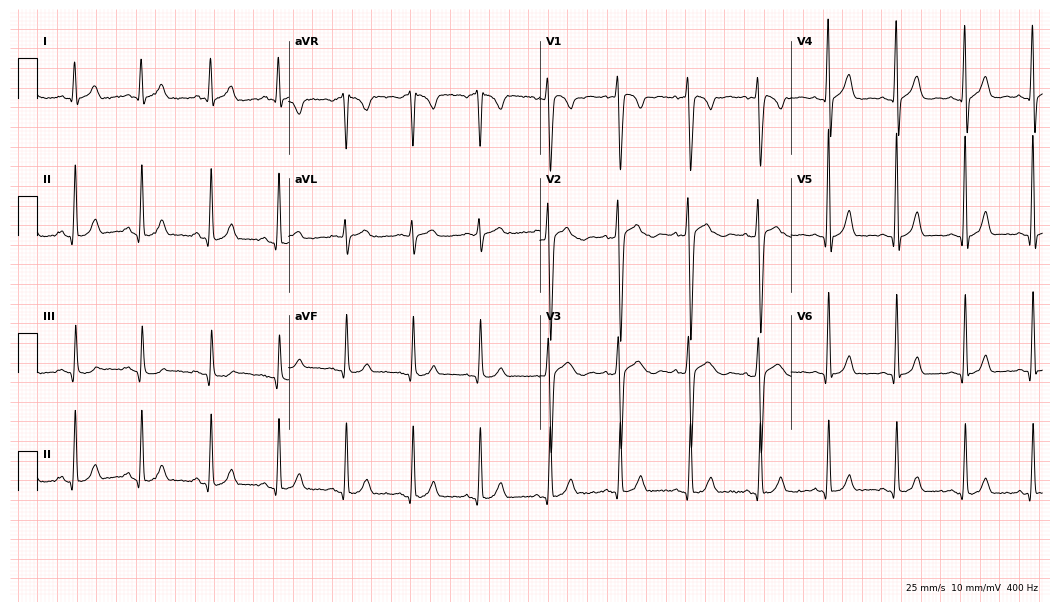
12-lead ECG from a 29-year-old man. Recorded interpretation: within normal limits.